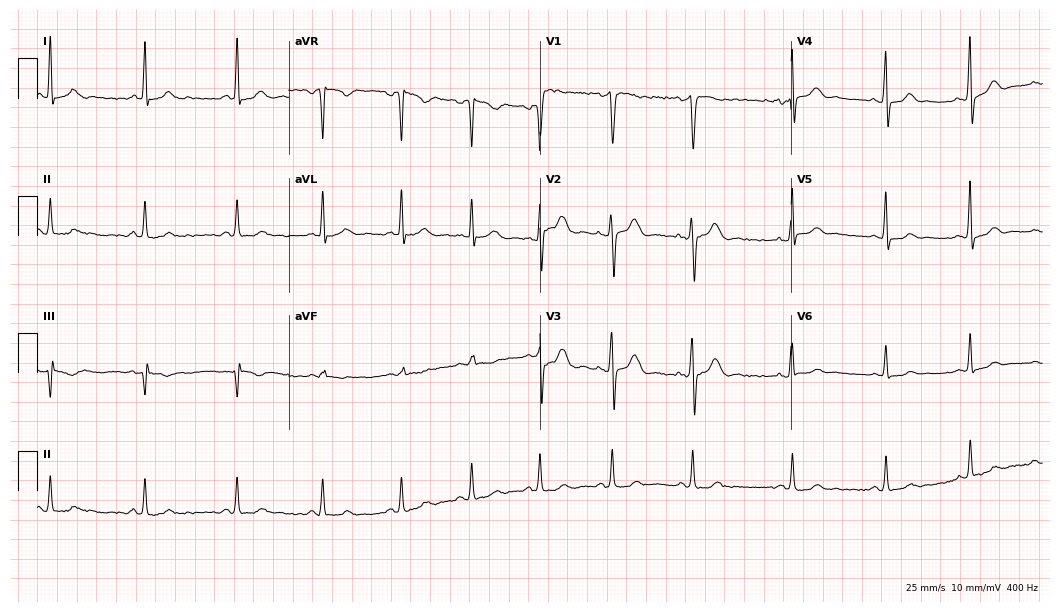
Electrocardiogram, a female, 39 years old. Overall reading on record: normal ECG.